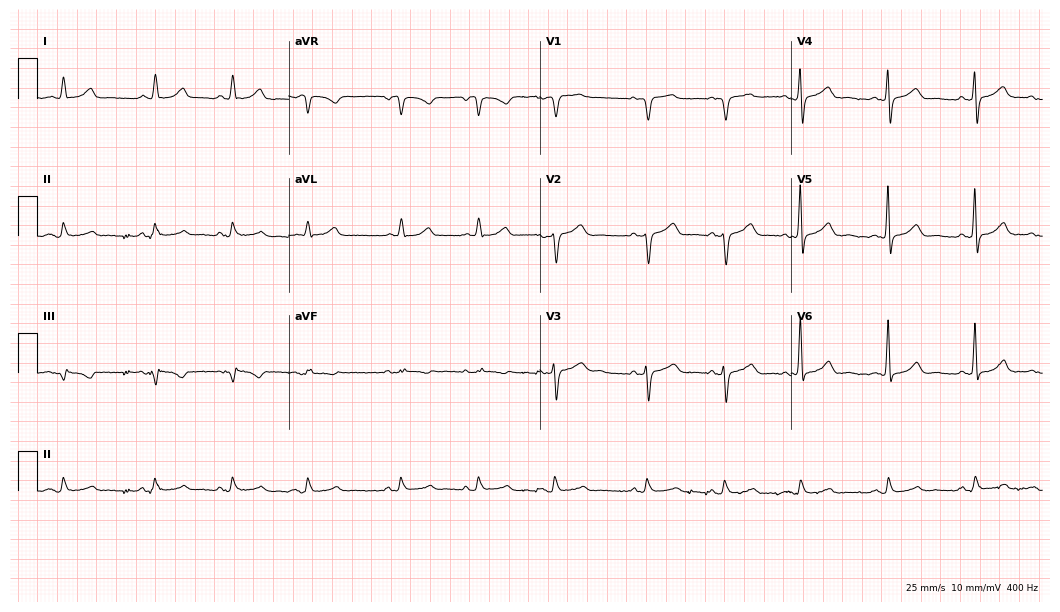
12-lead ECG (10.2-second recording at 400 Hz) from a female, 68 years old. Screened for six findings — first-degree AV block, right bundle branch block, left bundle branch block, sinus bradycardia, atrial fibrillation, sinus tachycardia — none is recorded. Other findings, if any, are not listed.